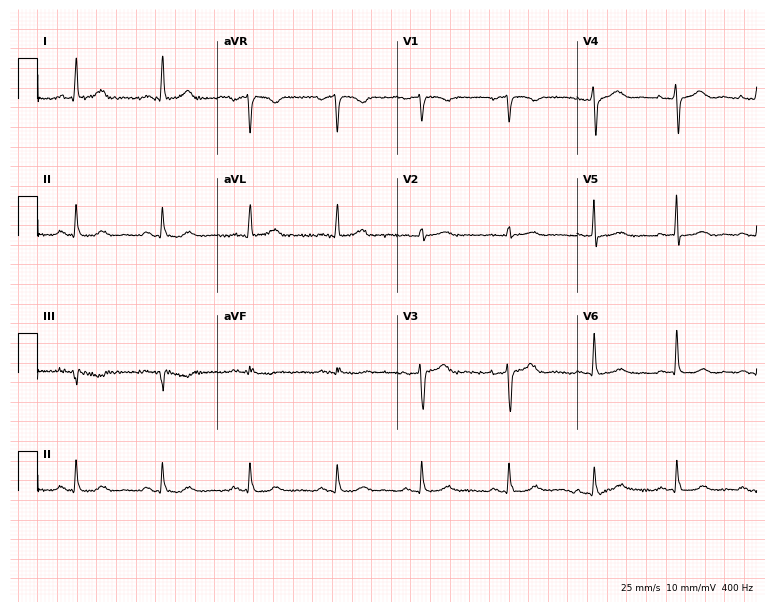
12-lead ECG from a 60-year-old female. No first-degree AV block, right bundle branch block, left bundle branch block, sinus bradycardia, atrial fibrillation or sinus tachycardia recorded for this tracing. Findings outside these six are not listed.